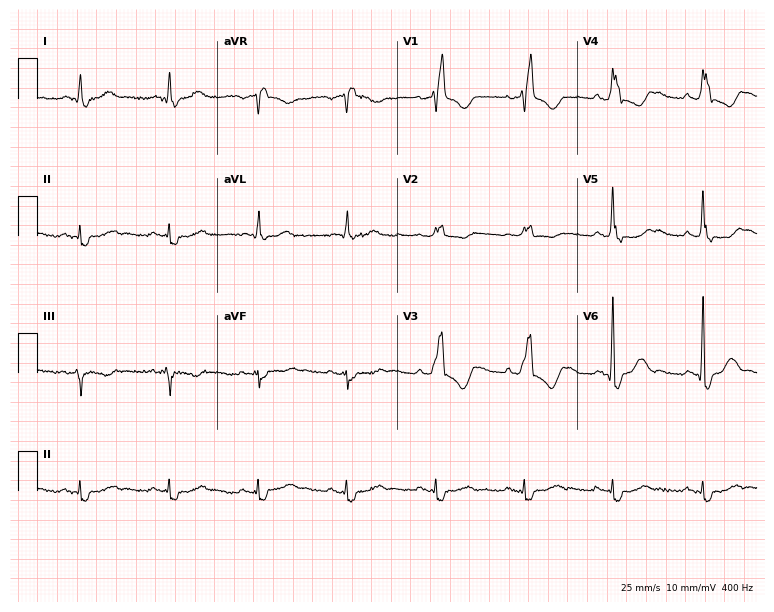
Electrocardiogram, a 66-year-old male. Of the six screened findings (first-degree AV block, right bundle branch block, left bundle branch block, sinus bradycardia, atrial fibrillation, sinus tachycardia), none is recorded.